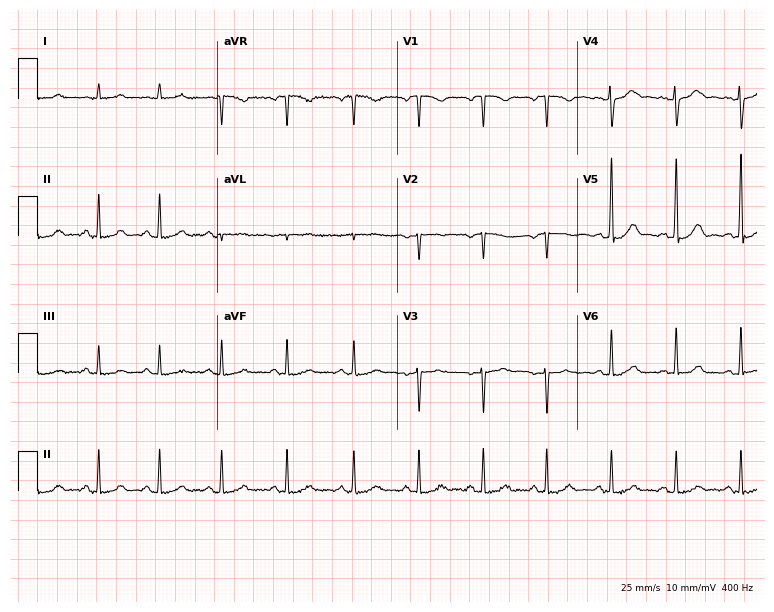
Standard 12-lead ECG recorded from a 38-year-old female patient (7.3-second recording at 400 Hz). None of these six findings is recorded: first-degree AV block, right bundle branch block (RBBB), left bundle branch block (LBBB), sinus bradycardia, atrial fibrillation (AF), sinus tachycardia. Only these six findings were labelled.